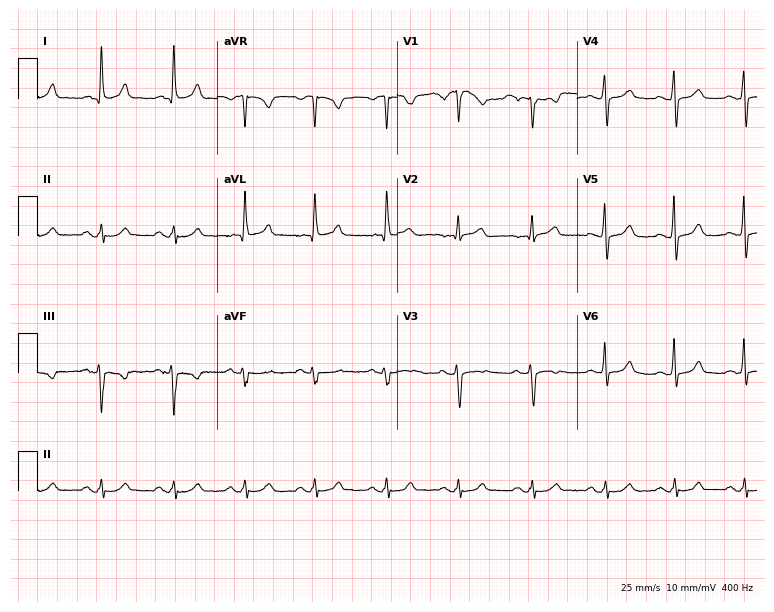
Resting 12-lead electrocardiogram (7.3-second recording at 400 Hz). Patient: a female, 51 years old. Read as a normal ECG.